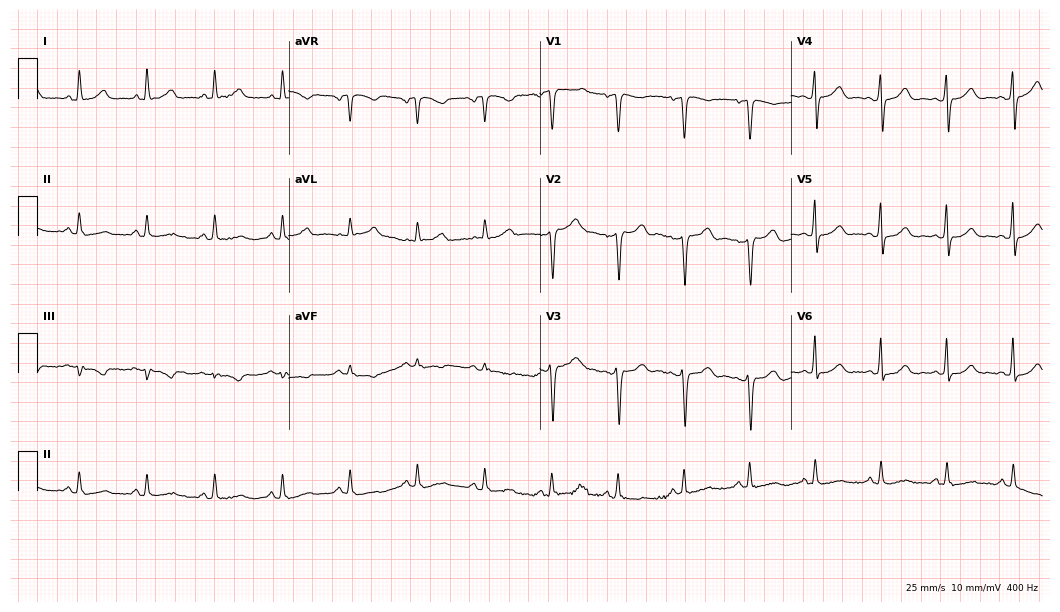
Resting 12-lead electrocardiogram. Patient: a 45-year-old woman. None of these six findings is recorded: first-degree AV block, right bundle branch block, left bundle branch block, sinus bradycardia, atrial fibrillation, sinus tachycardia.